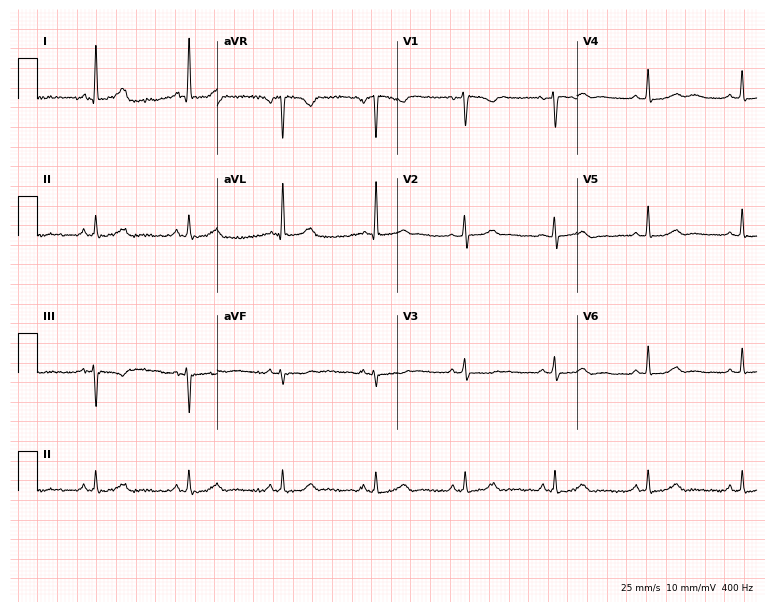
ECG — a woman, 49 years old. Labelled as a normal ECG.